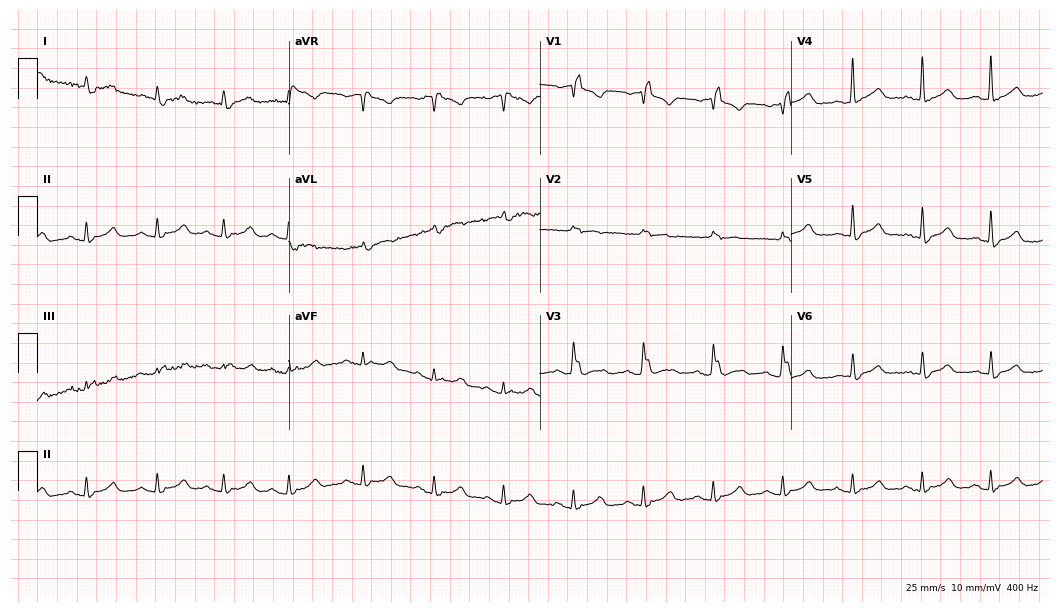
Standard 12-lead ECG recorded from an 82-year-old man. The tracing shows right bundle branch block.